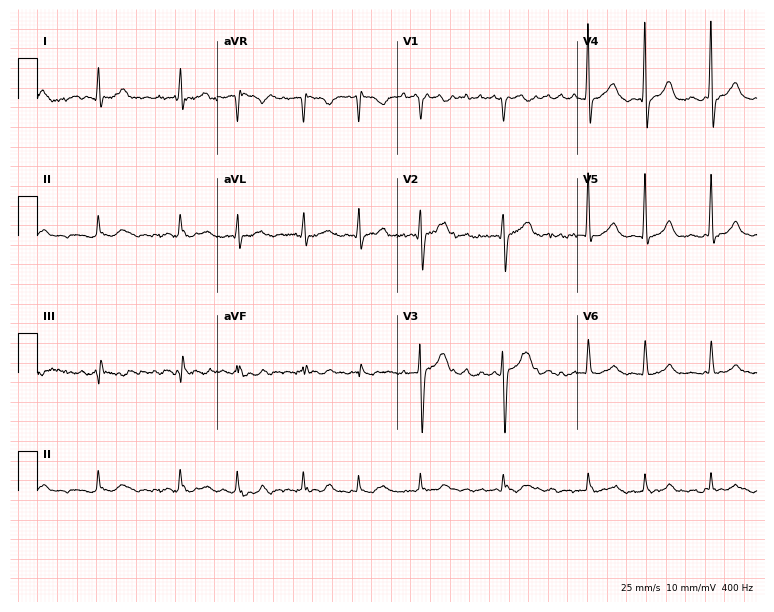
Standard 12-lead ECG recorded from a male patient, 67 years old (7.3-second recording at 400 Hz). The tracing shows atrial fibrillation.